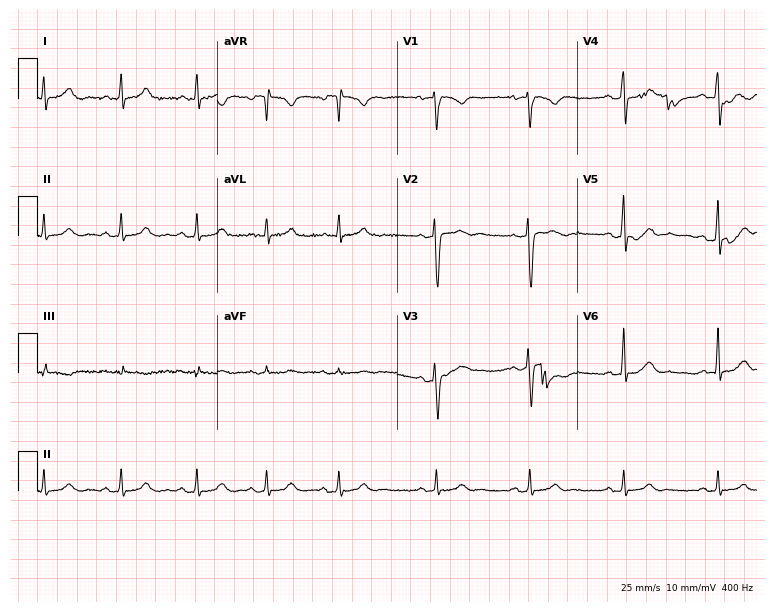
Resting 12-lead electrocardiogram. Patient: a male, 40 years old. Read as a normal ECG.